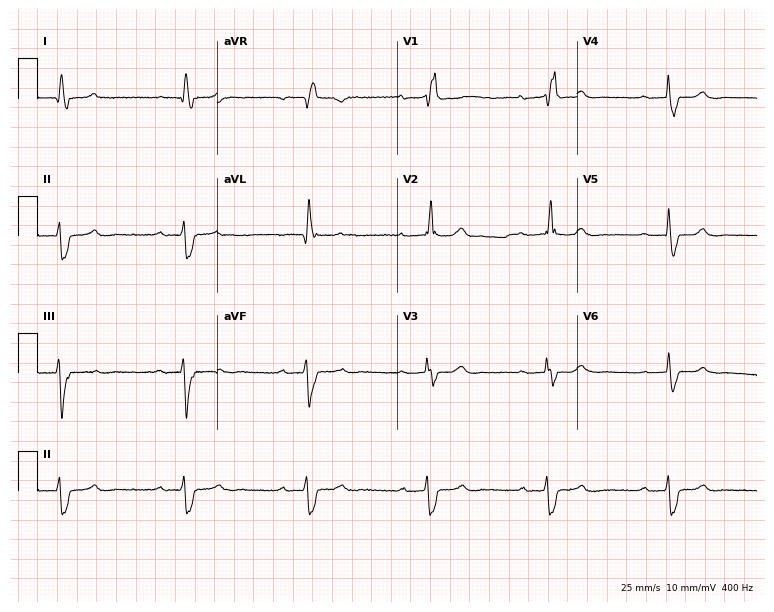
Standard 12-lead ECG recorded from a 66-year-old female patient. The tracing shows first-degree AV block, right bundle branch block.